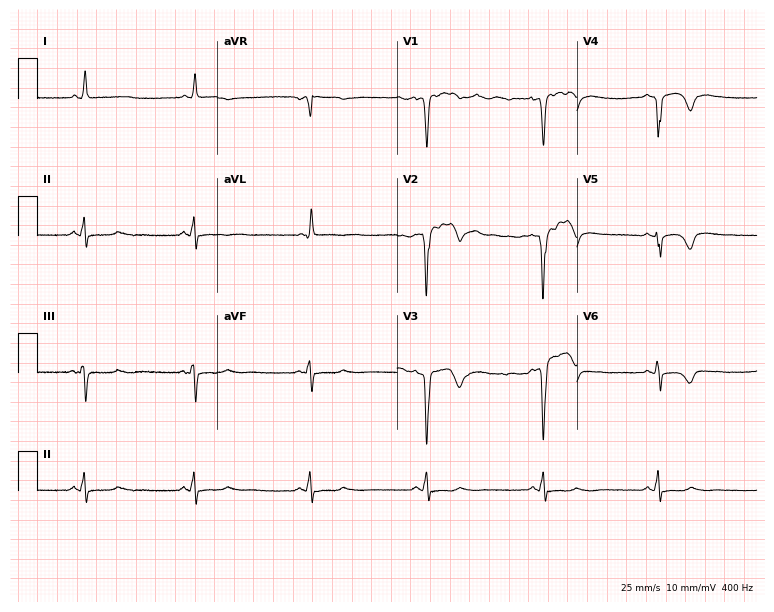
ECG — a man, 60 years old. Screened for six findings — first-degree AV block, right bundle branch block, left bundle branch block, sinus bradycardia, atrial fibrillation, sinus tachycardia — none is recorded.